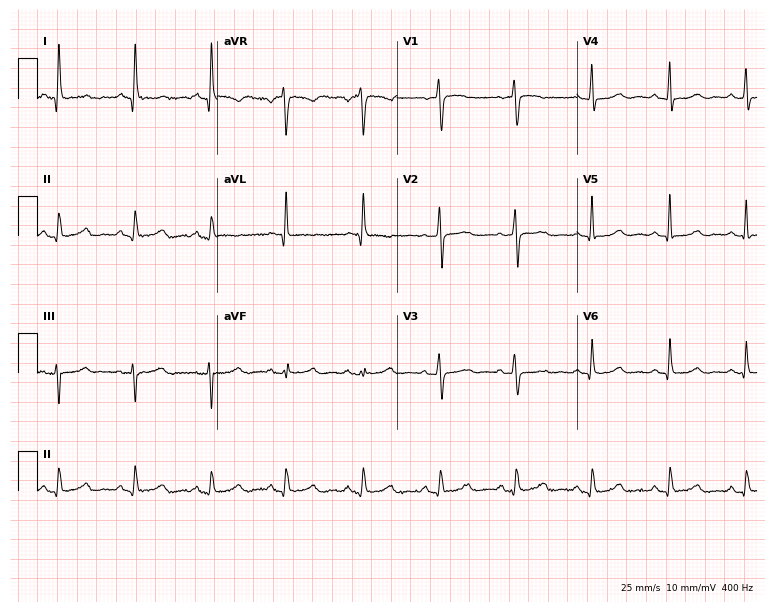
Resting 12-lead electrocardiogram (7.3-second recording at 400 Hz). Patient: a female, 76 years old. None of these six findings is recorded: first-degree AV block, right bundle branch block (RBBB), left bundle branch block (LBBB), sinus bradycardia, atrial fibrillation (AF), sinus tachycardia. Findings outside these six are not listed.